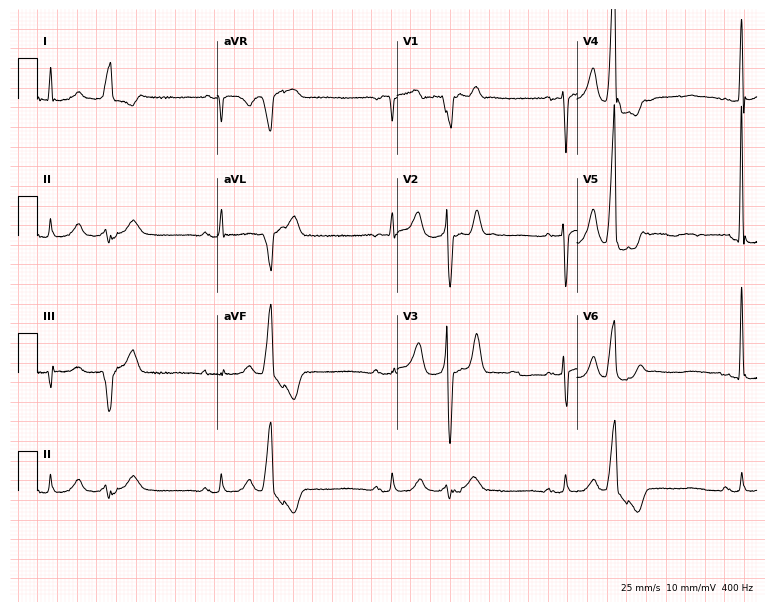
12-lead ECG (7.3-second recording at 400 Hz) from a male, 83 years old. Screened for six findings — first-degree AV block, right bundle branch block (RBBB), left bundle branch block (LBBB), sinus bradycardia, atrial fibrillation (AF), sinus tachycardia — none is recorded. Other findings, if any, are not listed.